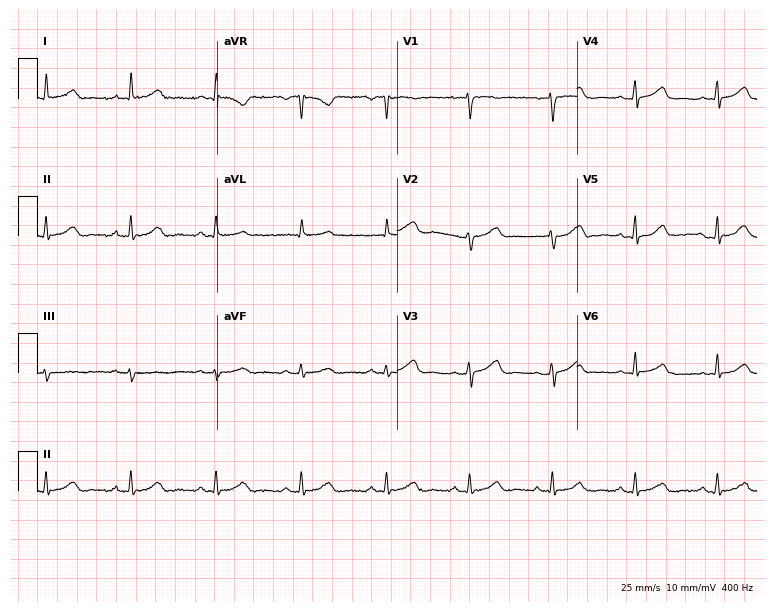
ECG — a 43-year-old female patient. Labelled as a normal ECG.